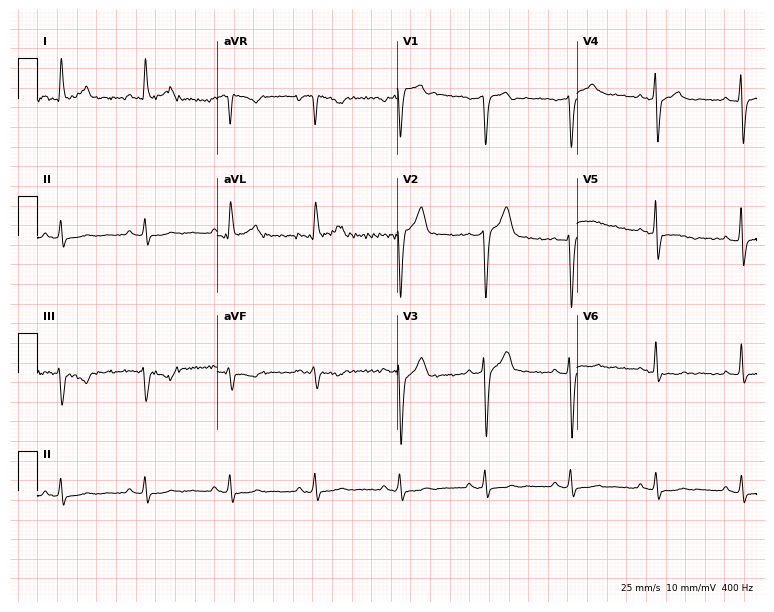
12-lead ECG from a 60-year-old man. Screened for six findings — first-degree AV block, right bundle branch block, left bundle branch block, sinus bradycardia, atrial fibrillation, sinus tachycardia — none is recorded. Findings outside these six are not listed.